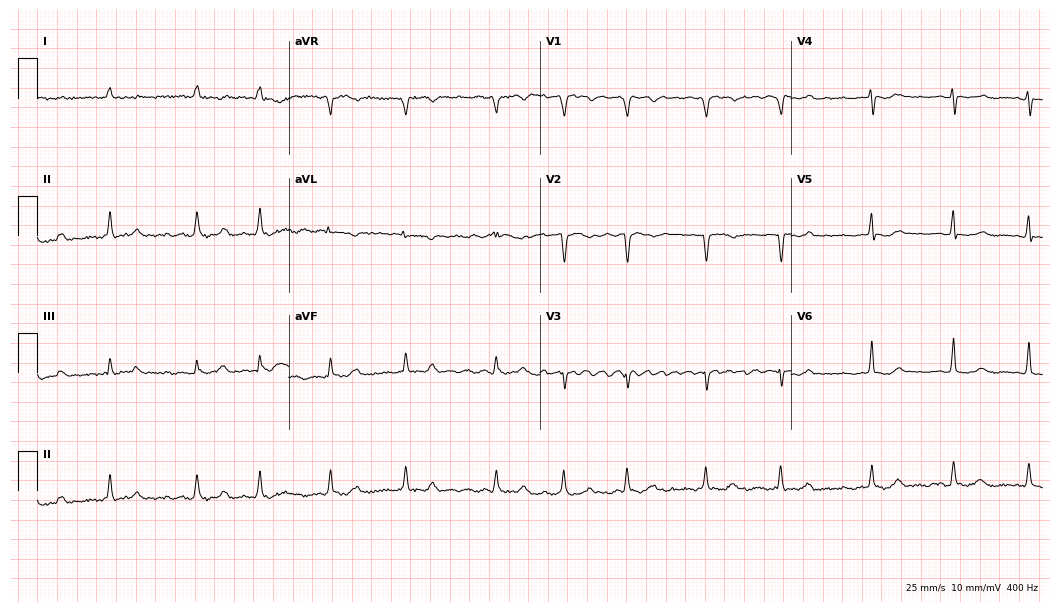
12-lead ECG from a woman, 73 years old. No first-degree AV block, right bundle branch block, left bundle branch block, sinus bradycardia, atrial fibrillation or sinus tachycardia recorded for this tracing.